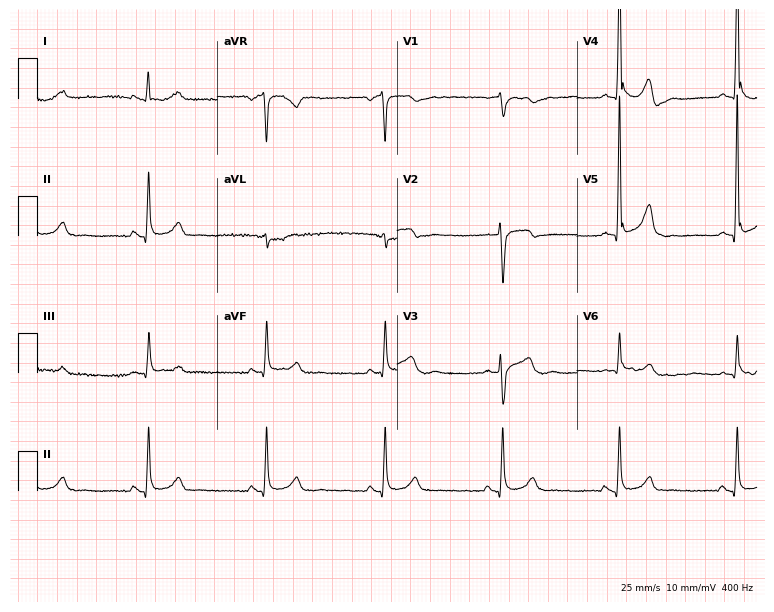
ECG — a man, 60 years old. Findings include sinus bradycardia (a sinus rate of 50 beats per minute or less).